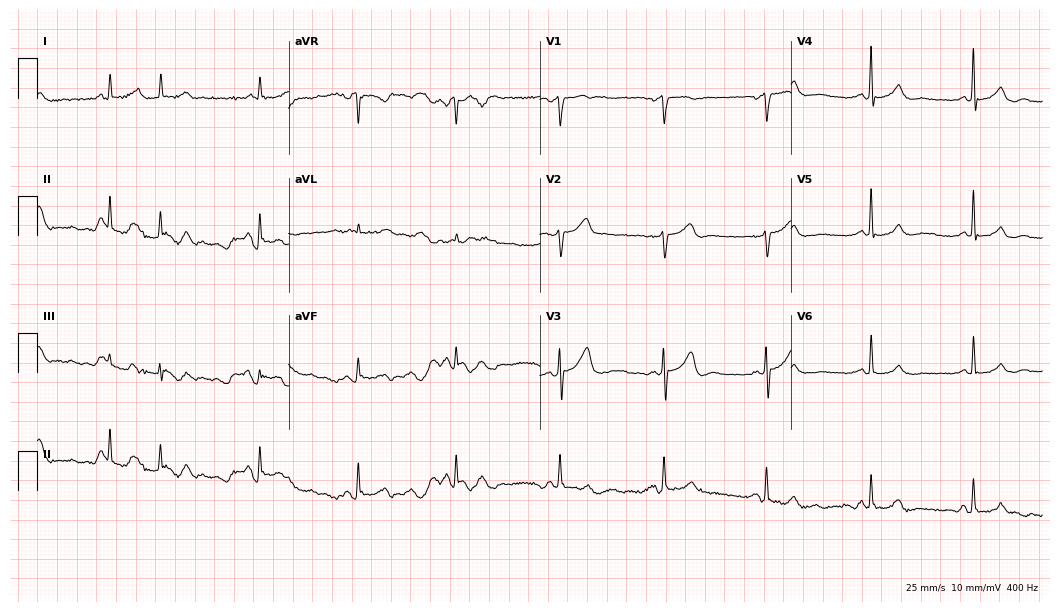
12-lead ECG from a 72-year-old man. No first-degree AV block, right bundle branch block, left bundle branch block, sinus bradycardia, atrial fibrillation or sinus tachycardia recorded for this tracing.